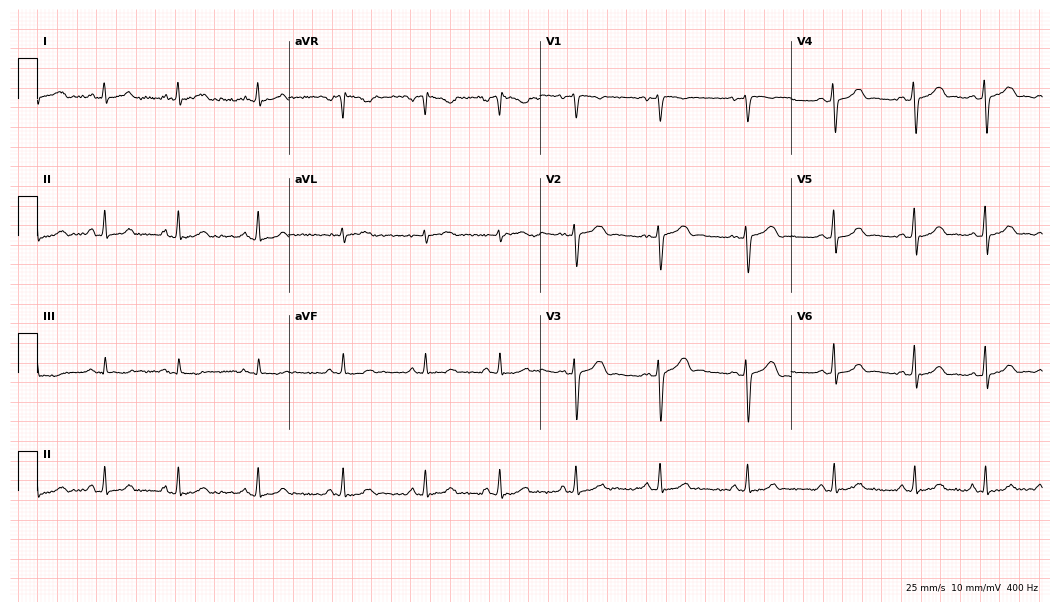
Electrocardiogram (10.2-second recording at 400 Hz), a 22-year-old female. Overall reading on record: normal ECG.